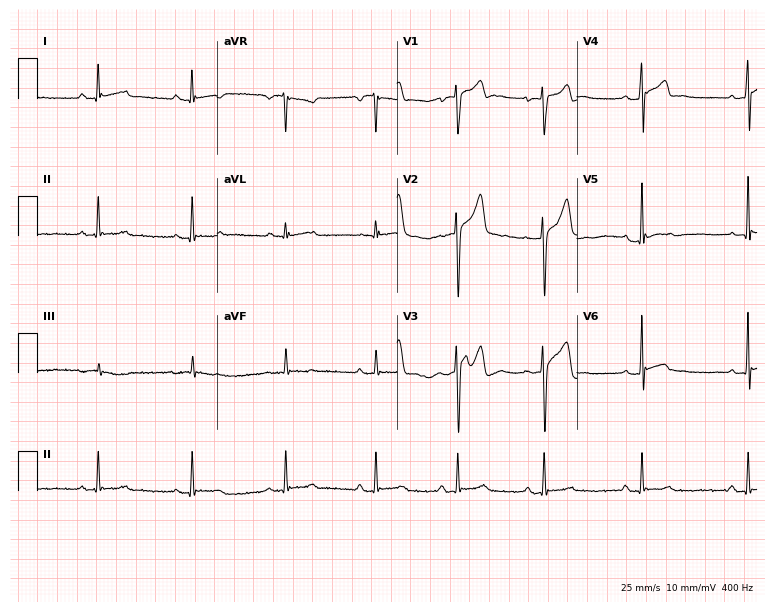
ECG — a male patient, 33 years old. Screened for six findings — first-degree AV block, right bundle branch block, left bundle branch block, sinus bradycardia, atrial fibrillation, sinus tachycardia — none is recorded.